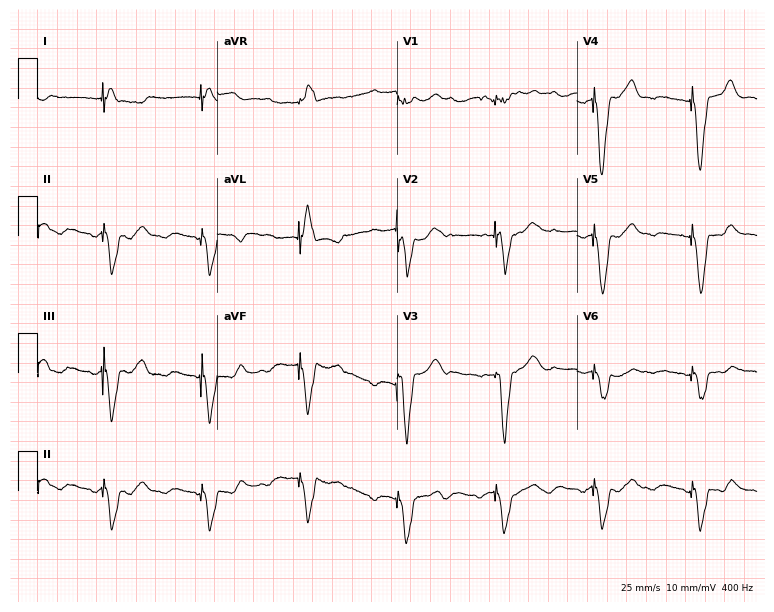
Resting 12-lead electrocardiogram (7.3-second recording at 400 Hz). Patient: a male, 85 years old. None of these six findings is recorded: first-degree AV block, right bundle branch block (RBBB), left bundle branch block (LBBB), sinus bradycardia, atrial fibrillation (AF), sinus tachycardia. Only these six findings were labelled.